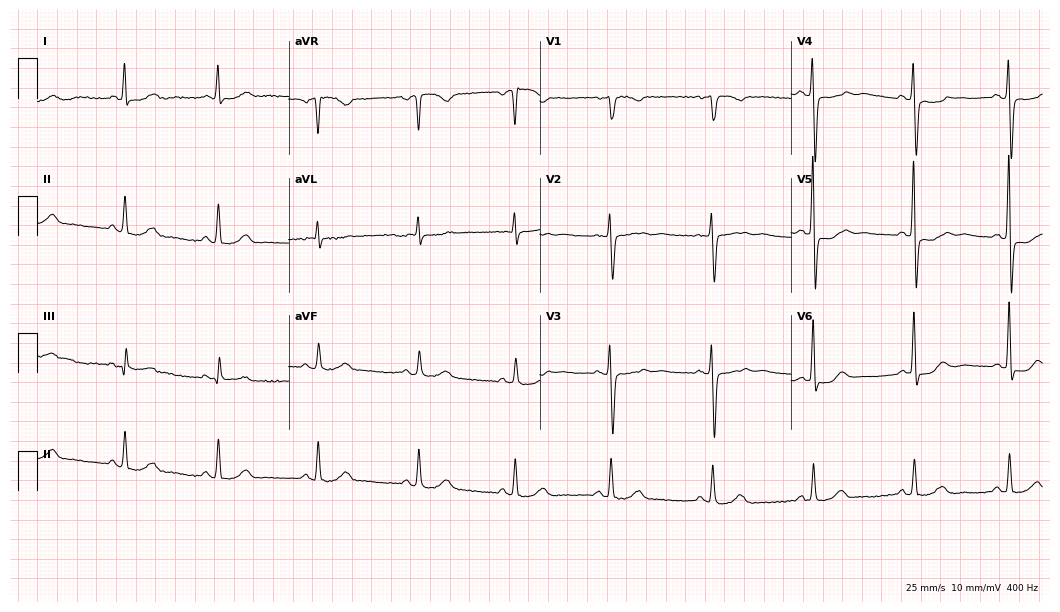
12-lead ECG (10.2-second recording at 400 Hz) from a female patient, 72 years old. Screened for six findings — first-degree AV block, right bundle branch block (RBBB), left bundle branch block (LBBB), sinus bradycardia, atrial fibrillation (AF), sinus tachycardia — none is recorded.